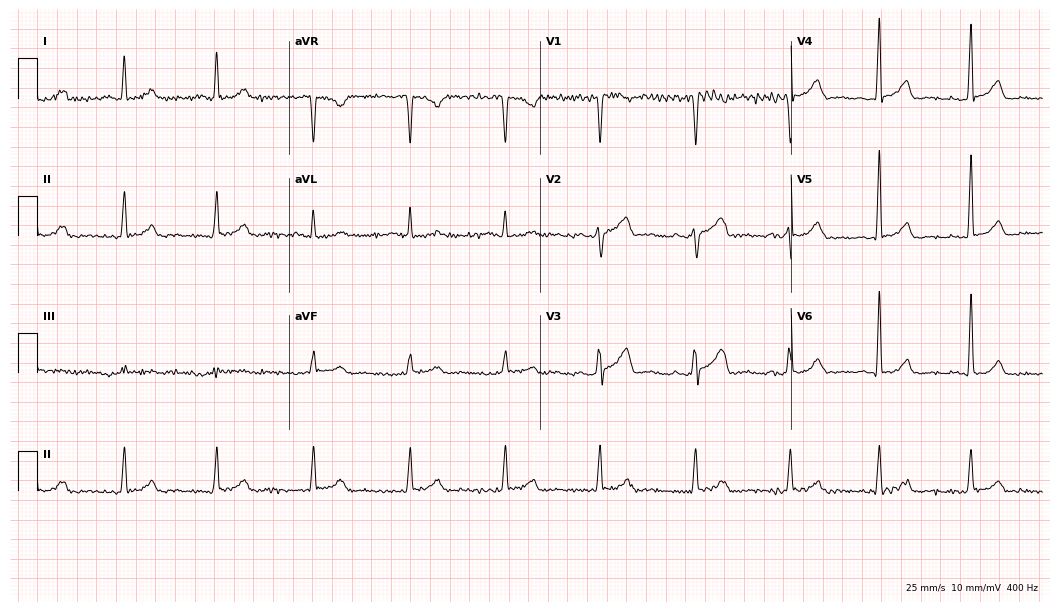
12-lead ECG from a 59-year-old male patient. No first-degree AV block, right bundle branch block, left bundle branch block, sinus bradycardia, atrial fibrillation or sinus tachycardia recorded for this tracing.